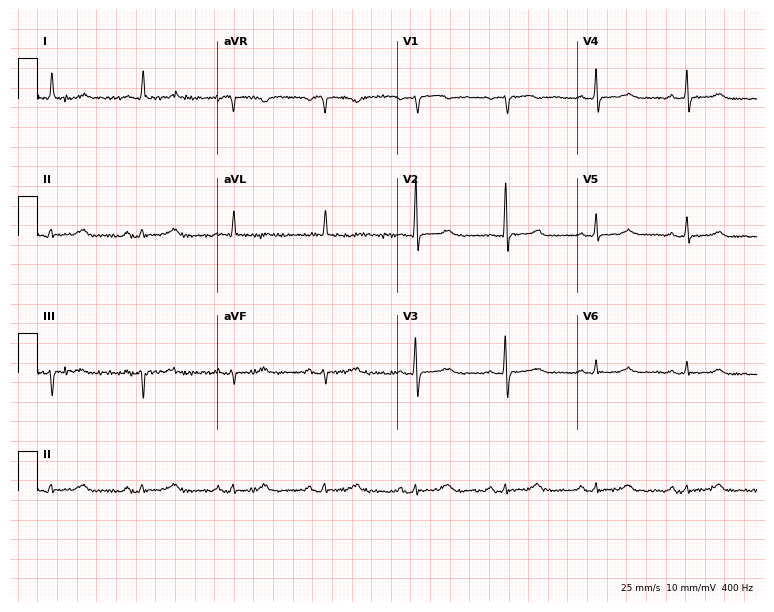
12-lead ECG from a 72-year-old woman (7.3-second recording at 400 Hz). Recorded interpretation: within normal limits.